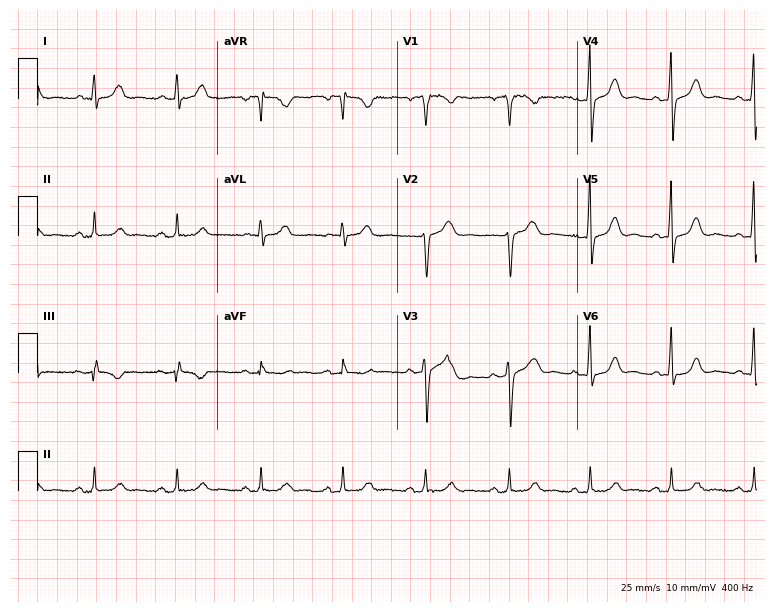
Electrocardiogram (7.3-second recording at 400 Hz), a 63-year-old female patient. Overall reading on record: normal ECG.